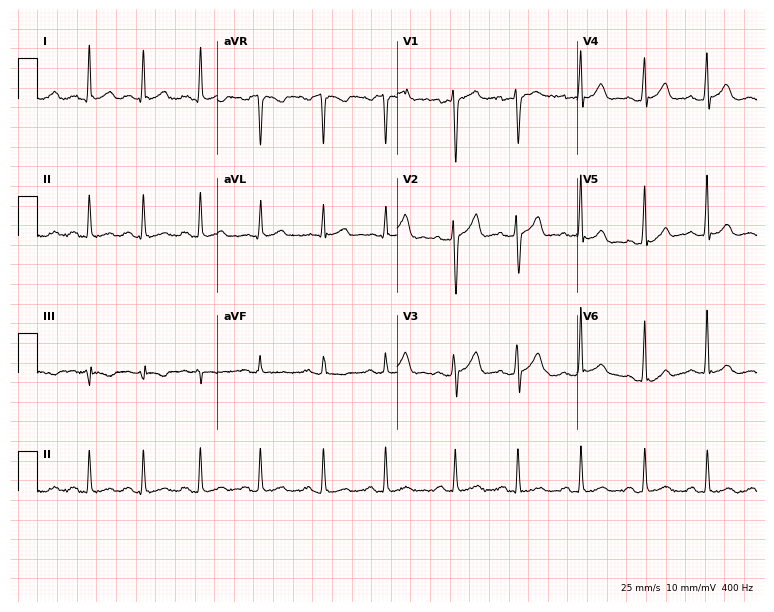
ECG (7.3-second recording at 400 Hz) — a 23-year-old man. Screened for six findings — first-degree AV block, right bundle branch block, left bundle branch block, sinus bradycardia, atrial fibrillation, sinus tachycardia — none is recorded.